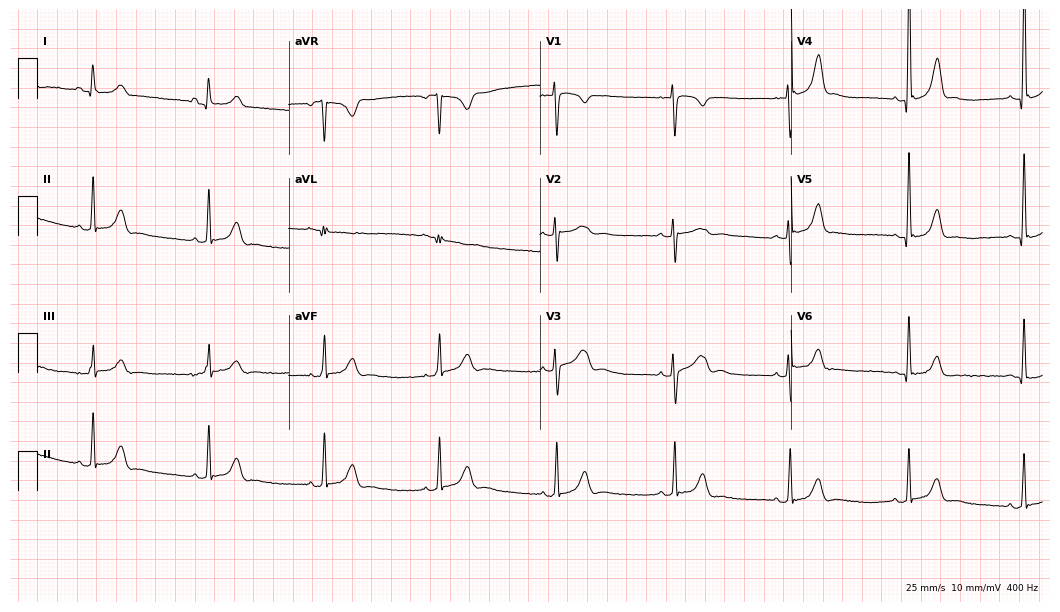
Standard 12-lead ECG recorded from a 22-year-old woman. None of these six findings is recorded: first-degree AV block, right bundle branch block (RBBB), left bundle branch block (LBBB), sinus bradycardia, atrial fibrillation (AF), sinus tachycardia. Only these six findings were labelled.